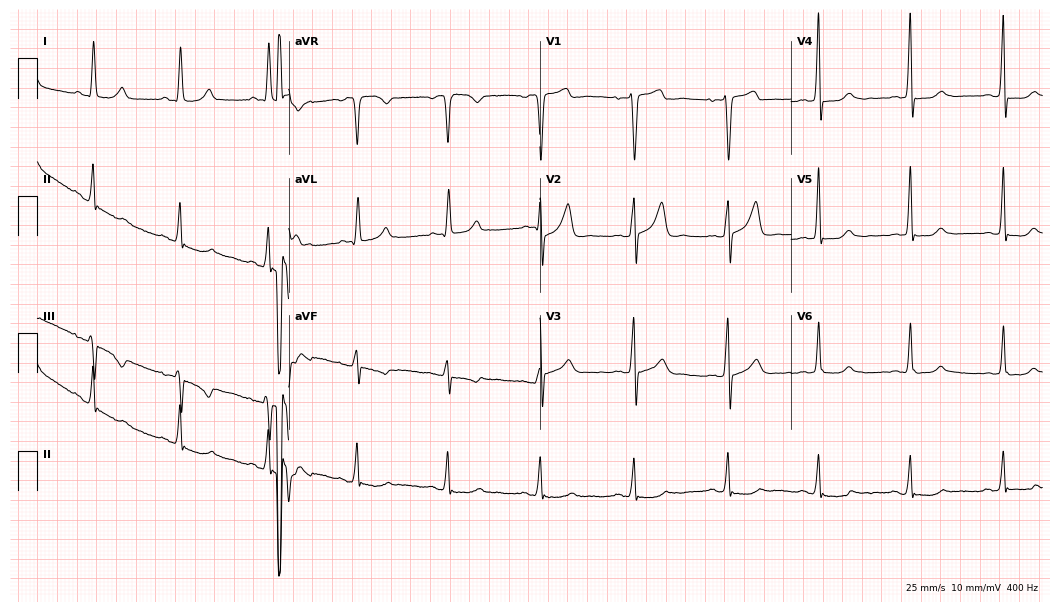
Resting 12-lead electrocardiogram. Patient: a 52-year-old female. None of these six findings is recorded: first-degree AV block, right bundle branch block, left bundle branch block, sinus bradycardia, atrial fibrillation, sinus tachycardia.